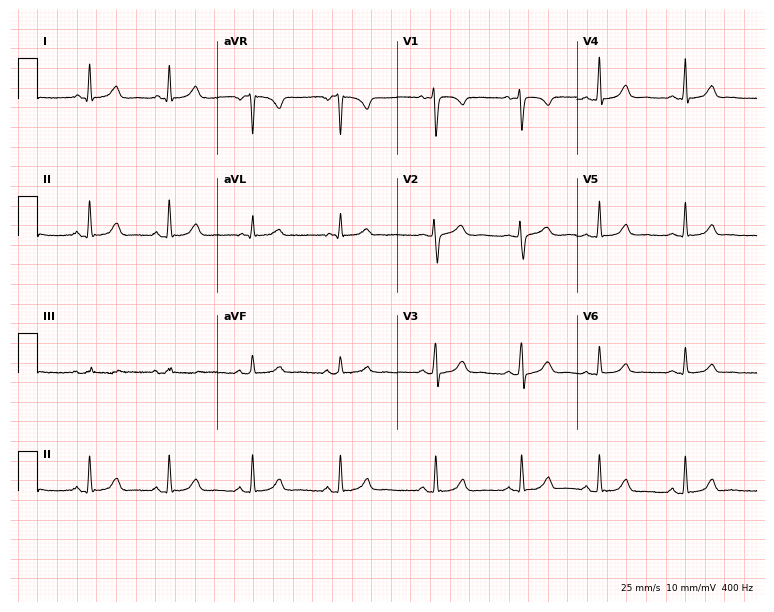
12-lead ECG from a 22-year-old female patient. Labelled as a normal ECG.